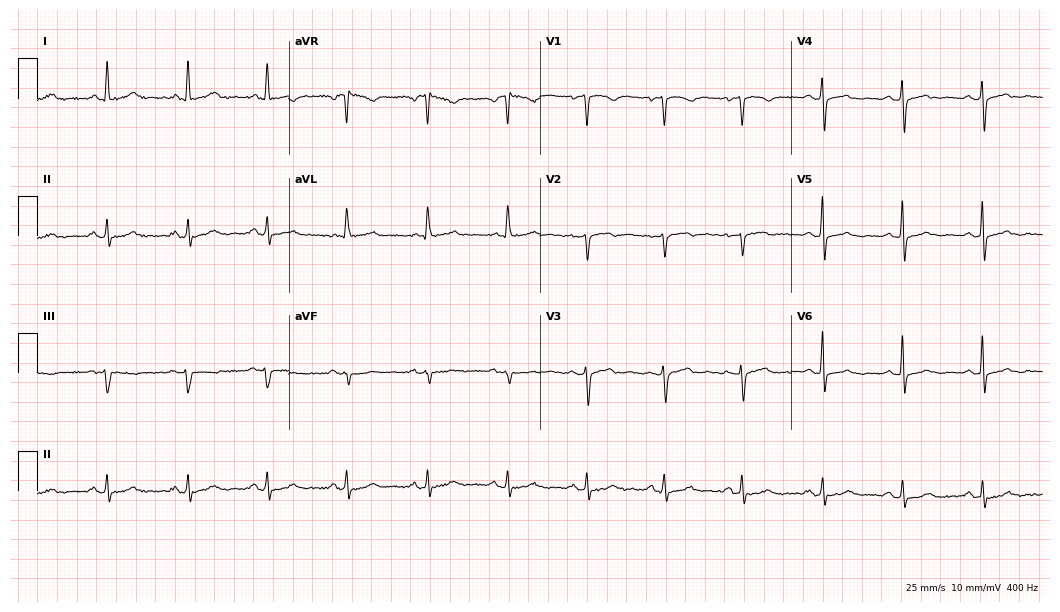
12-lead ECG from a female patient, 62 years old (10.2-second recording at 400 Hz). Recorded interpretation: within normal limits.